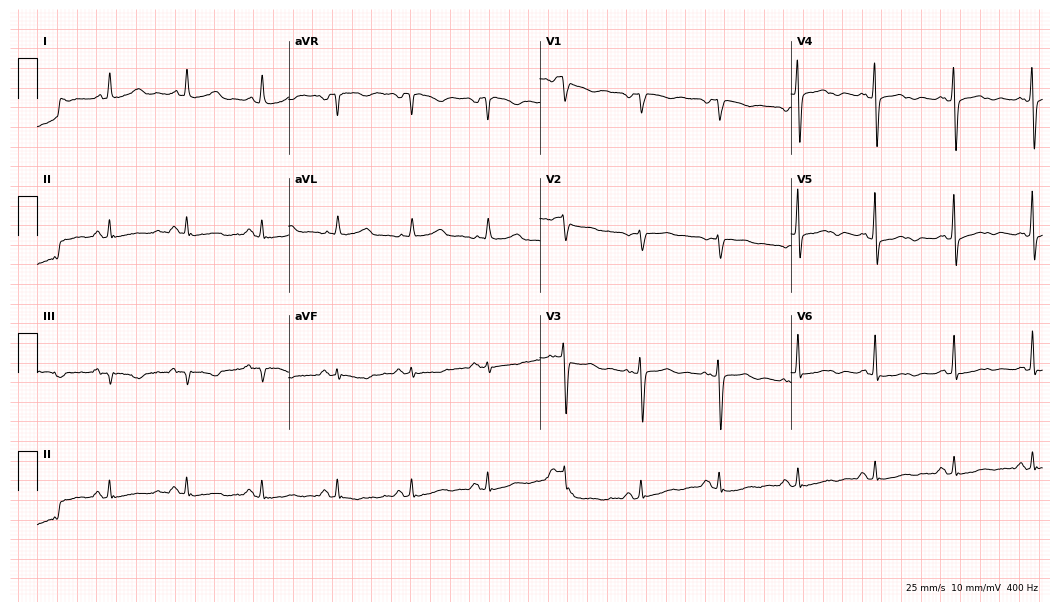
Standard 12-lead ECG recorded from a 73-year-old woman. None of these six findings is recorded: first-degree AV block, right bundle branch block (RBBB), left bundle branch block (LBBB), sinus bradycardia, atrial fibrillation (AF), sinus tachycardia. Findings outside these six are not listed.